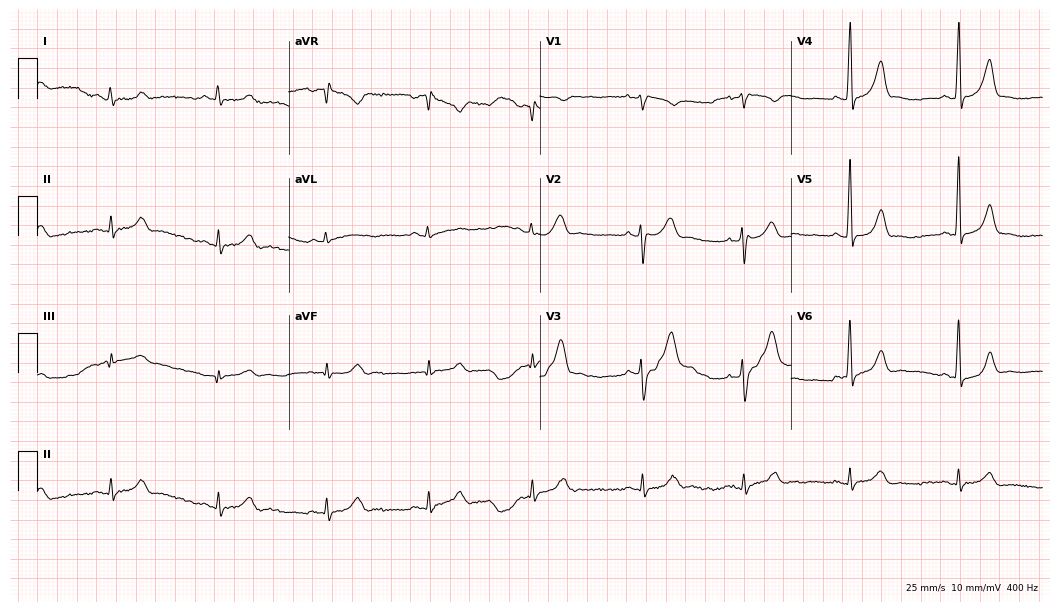
Resting 12-lead electrocardiogram (10.2-second recording at 400 Hz). Patient: a 29-year-old male. Read as a normal ECG.